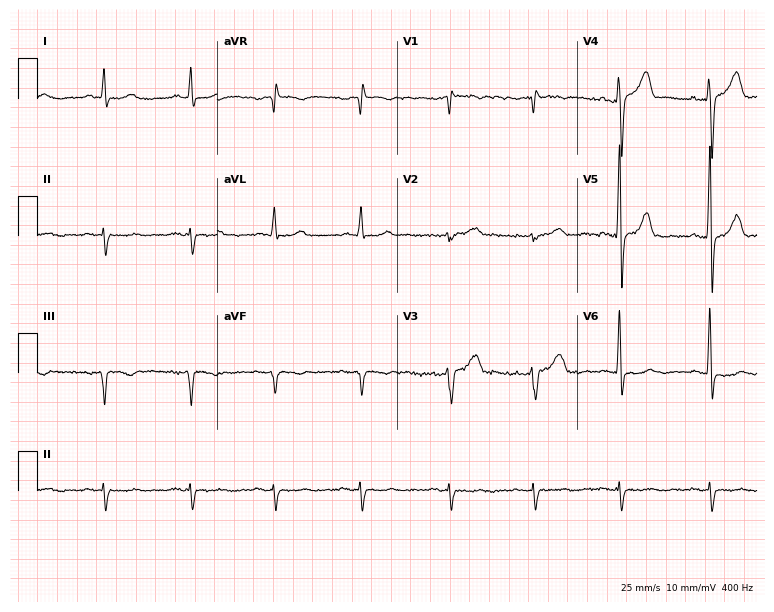
12-lead ECG from a male patient, 53 years old. Screened for six findings — first-degree AV block, right bundle branch block, left bundle branch block, sinus bradycardia, atrial fibrillation, sinus tachycardia — none is recorded. Only these six findings were labelled.